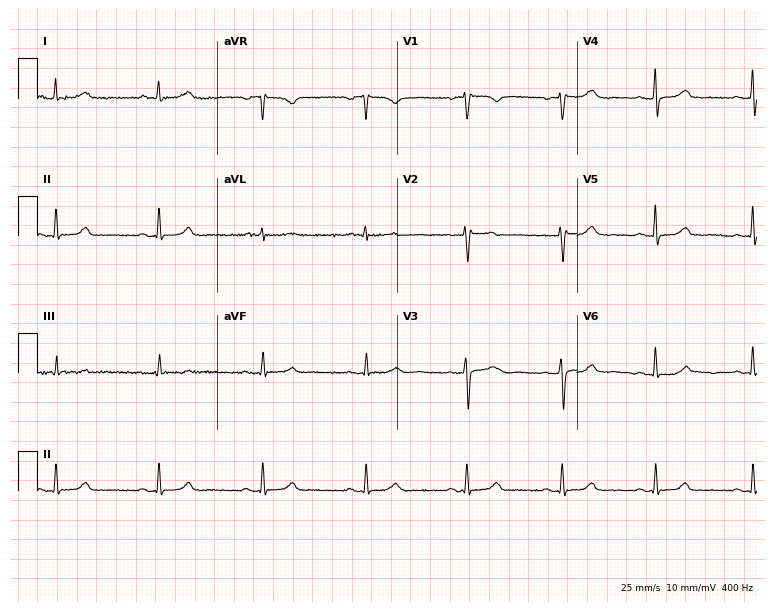
Standard 12-lead ECG recorded from a 56-year-old woman (7.3-second recording at 400 Hz). Read as a normal ECG.